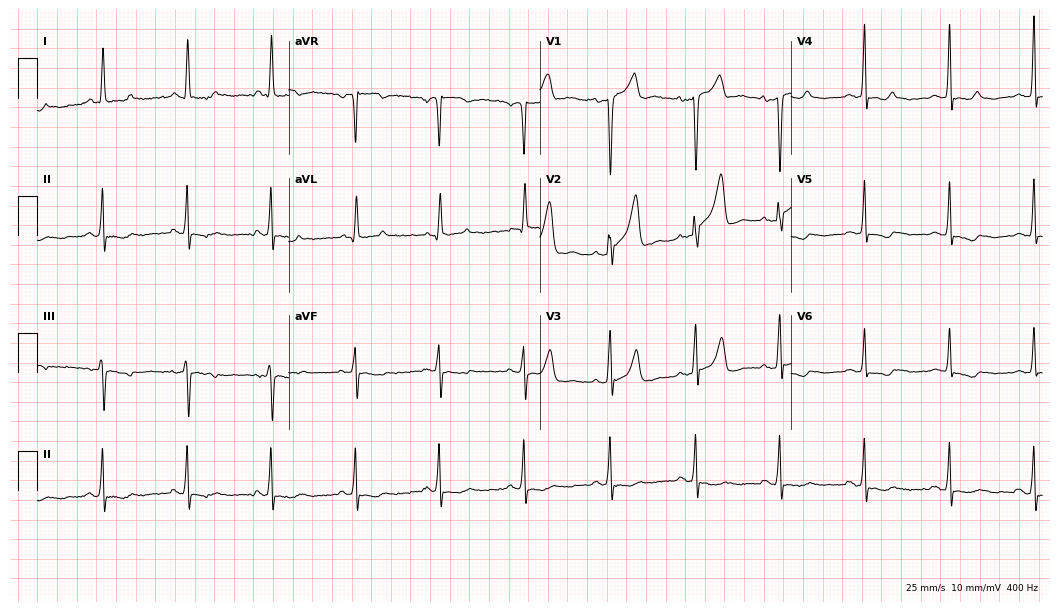
Resting 12-lead electrocardiogram. Patient: a 63-year-old male. None of these six findings is recorded: first-degree AV block, right bundle branch block (RBBB), left bundle branch block (LBBB), sinus bradycardia, atrial fibrillation (AF), sinus tachycardia. Only these six findings were labelled.